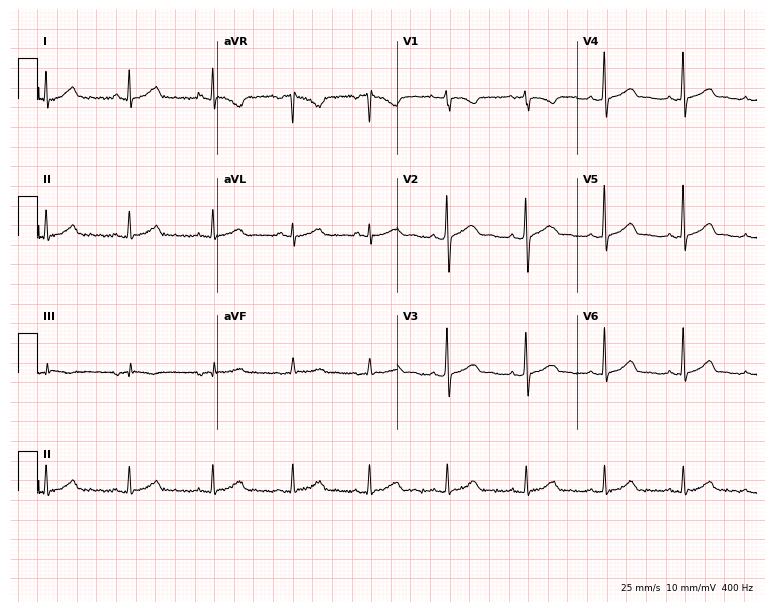
Resting 12-lead electrocardiogram (7.3-second recording at 400 Hz). Patient: a 47-year-old female. None of these six findings is recorded: first-degree AV block, right bundle branch block (RBBB), left bundle branch block (LBBB), sinus bradycardia, atrial fibrillation (AF), sinus tachycardia. Only these six findings were labelled.